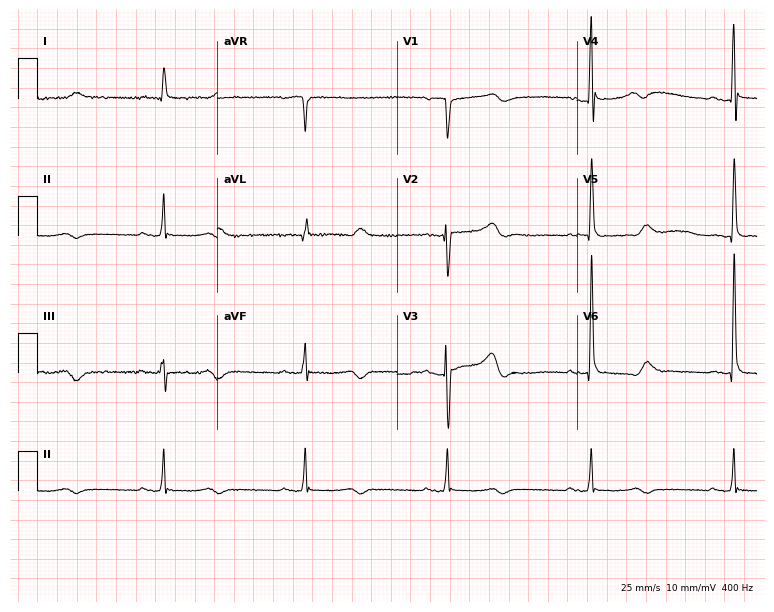
ECG — a 79-year-old male. Findings include sinus bradycardia (a sinus rate of 50 beats per minute or less), atrial fibrillation.